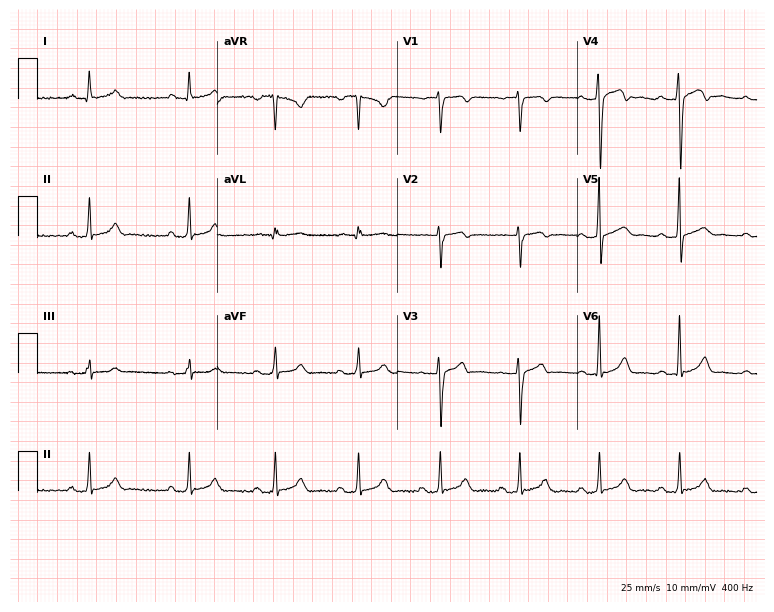
Resting 12-lead electrocardiogram. Patient: a 29-year-old male. Read as a normal ECG.